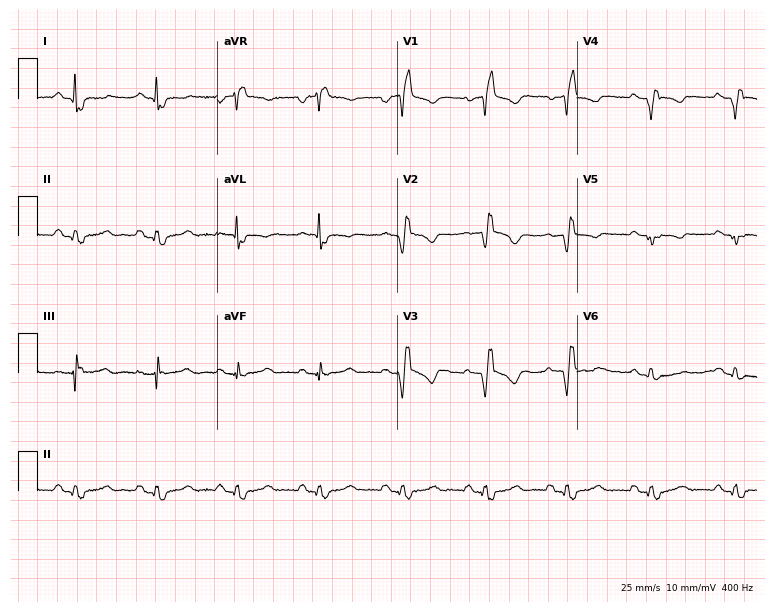
12-lead ECG from a 51-year-old woman. Shows right bundle branch block (RBBB).